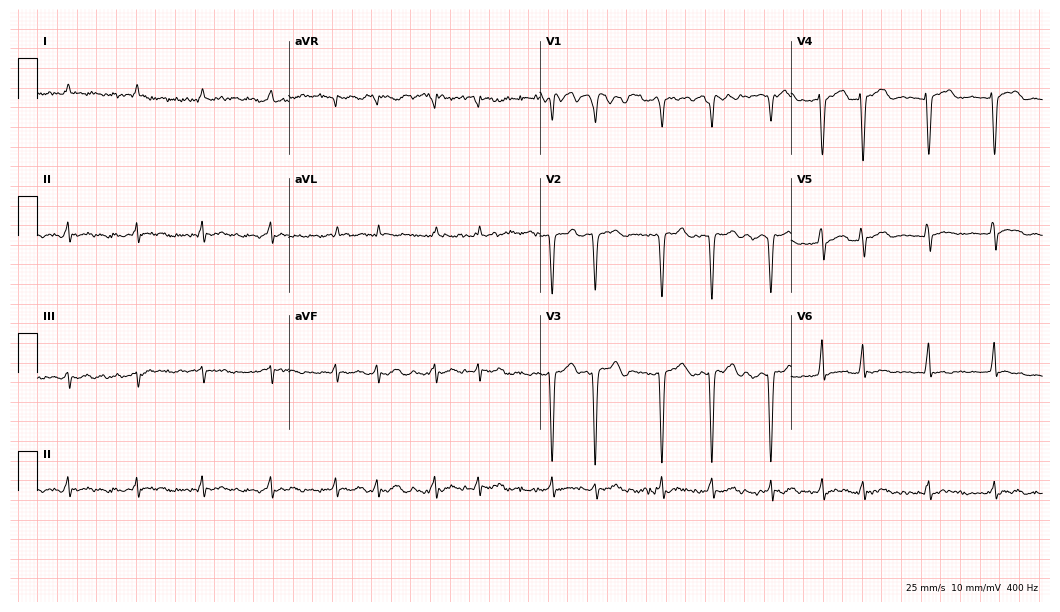
Standard 12-lead ECG recorded from a 46-year-old male. The tracing shows atrial fibrillation (AF).